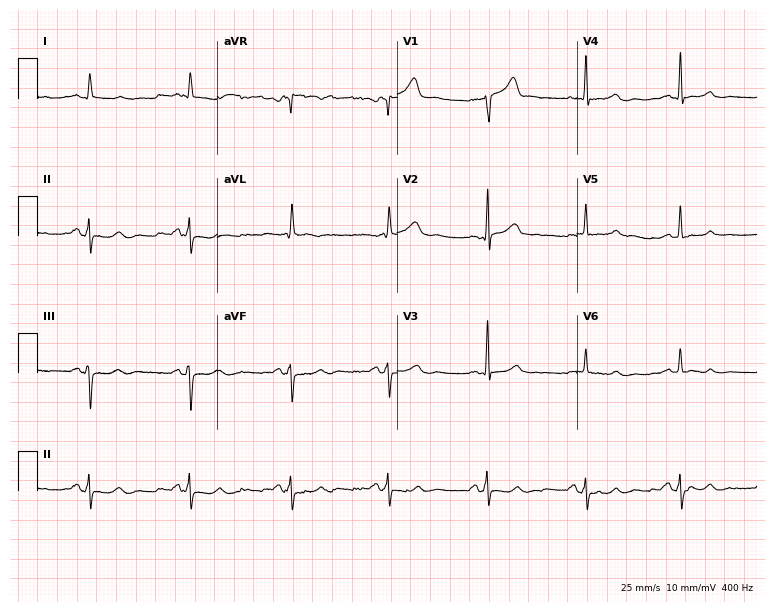
Standard 12-lead ECG recorded from a man, 60 years old. None of these six findings is recorded: first-degree AV block, right bundle branch block, left bundle branch block, sinus bradycardia, atrial fibrillation, sinus tachycardia. Other findings, if any, are not listed.